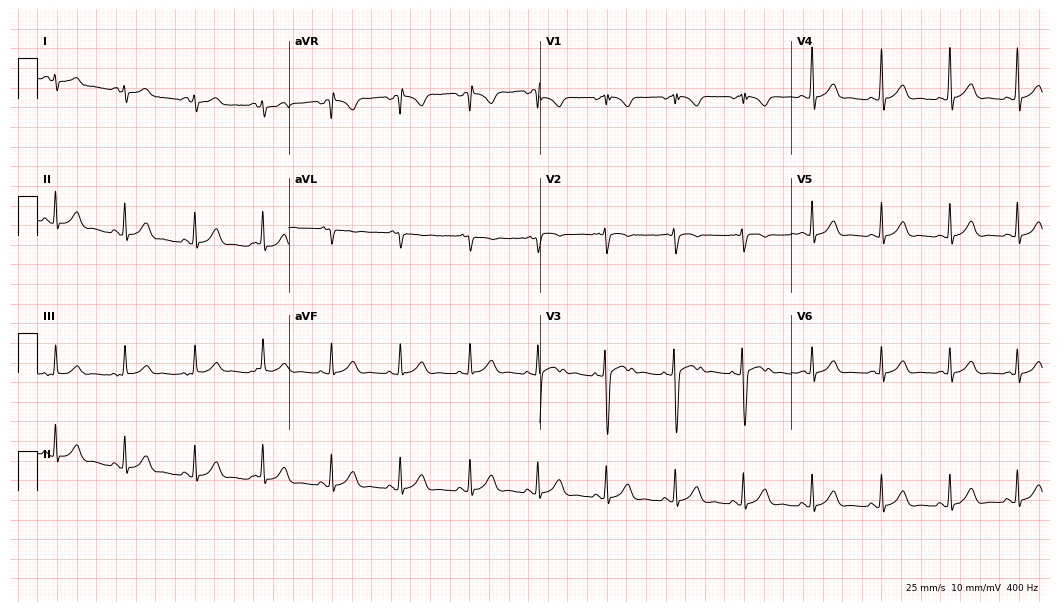
Electrocardiogram, a male patient, 18 years old. Overall reading on record: normal ECG.